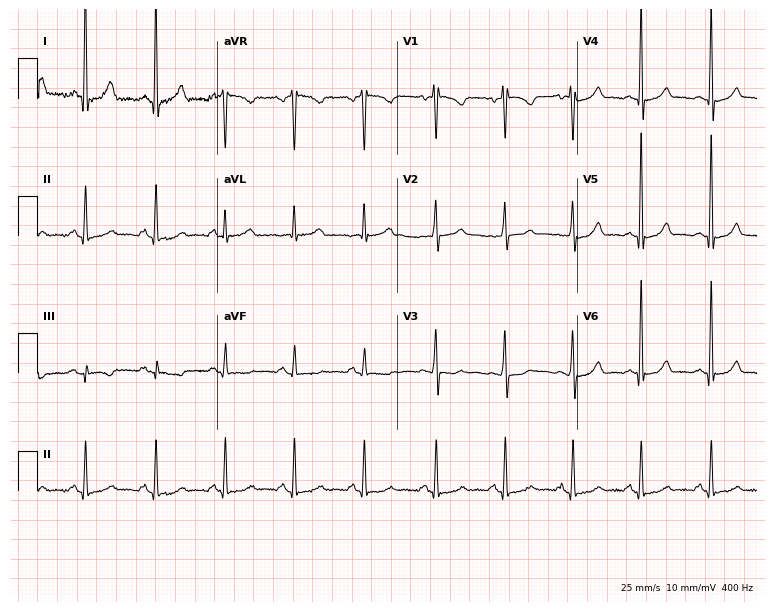
Resting 12-lead electrocardiogram (7.3-second recording at 400 Hz). Patient: a 50-year-old female. Read as a normal ECG.